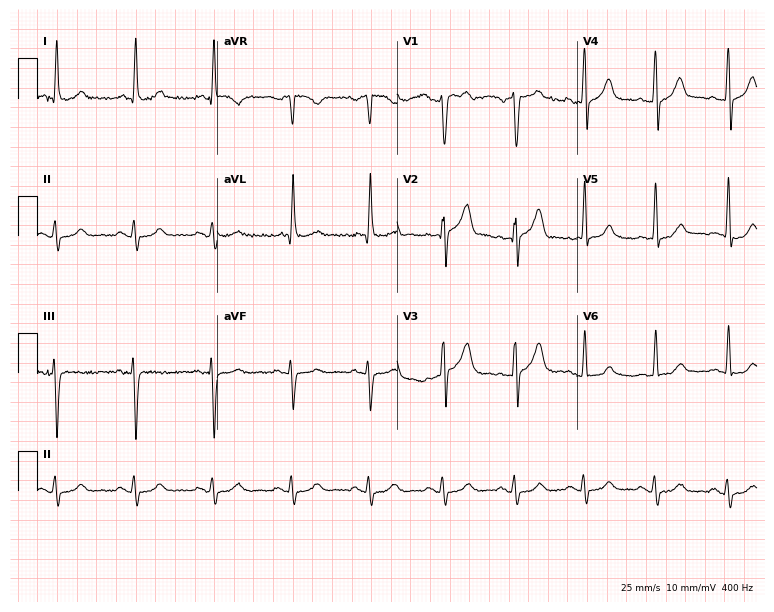
Electrocardiogram, a man, 57 years old. Overall reading on record: normal ECG.